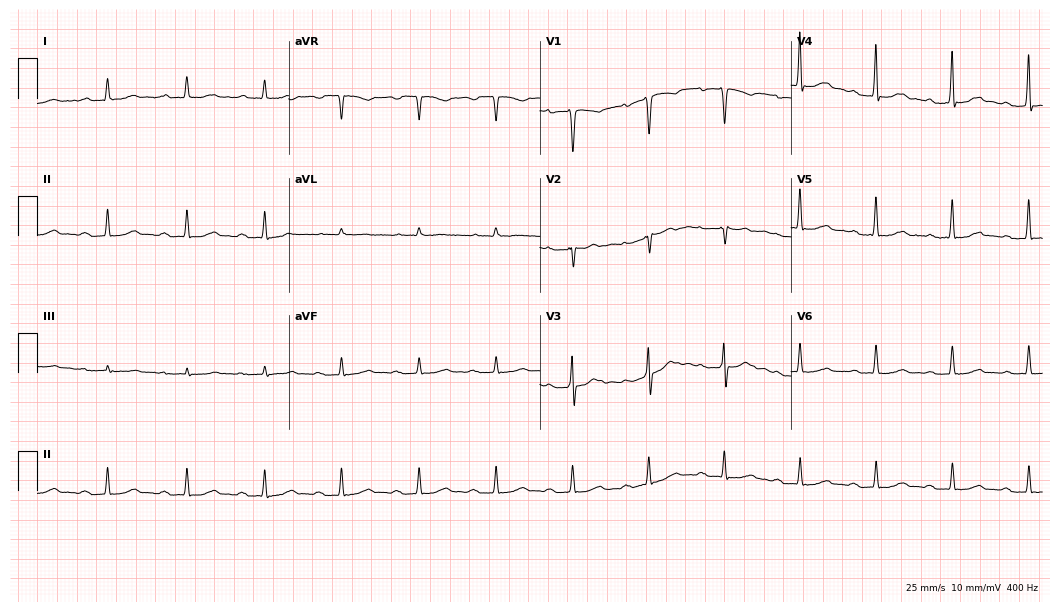
Resting 12-lead electrocardiogram. Patient: a 39-year-old male. The tracing shows first-degree AV block.